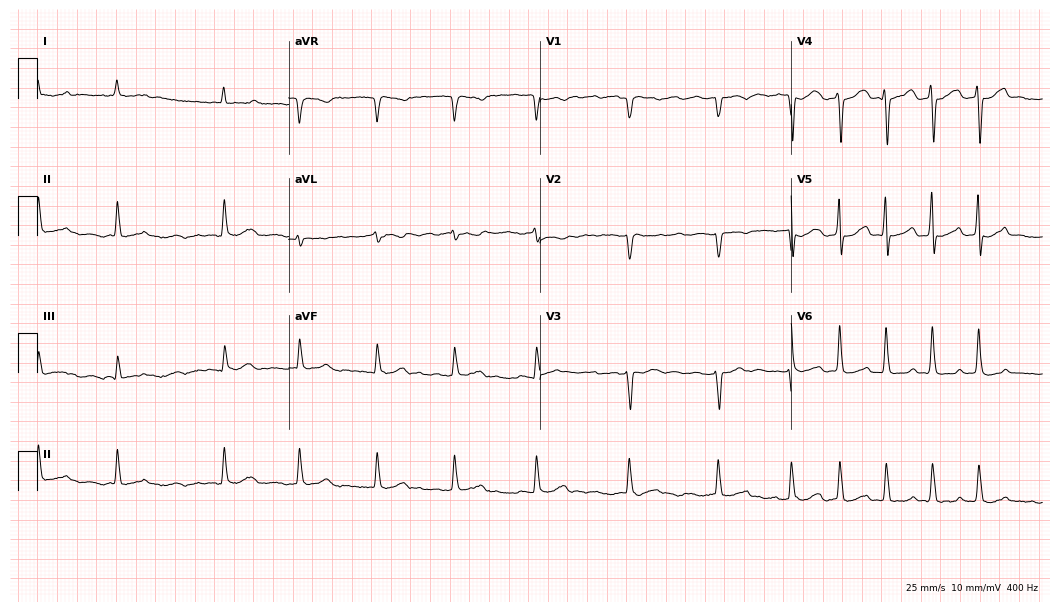
ECG (10.2-second recording at 400 Hz) — a 73-year-old female. Findings include atrial fibrillation.